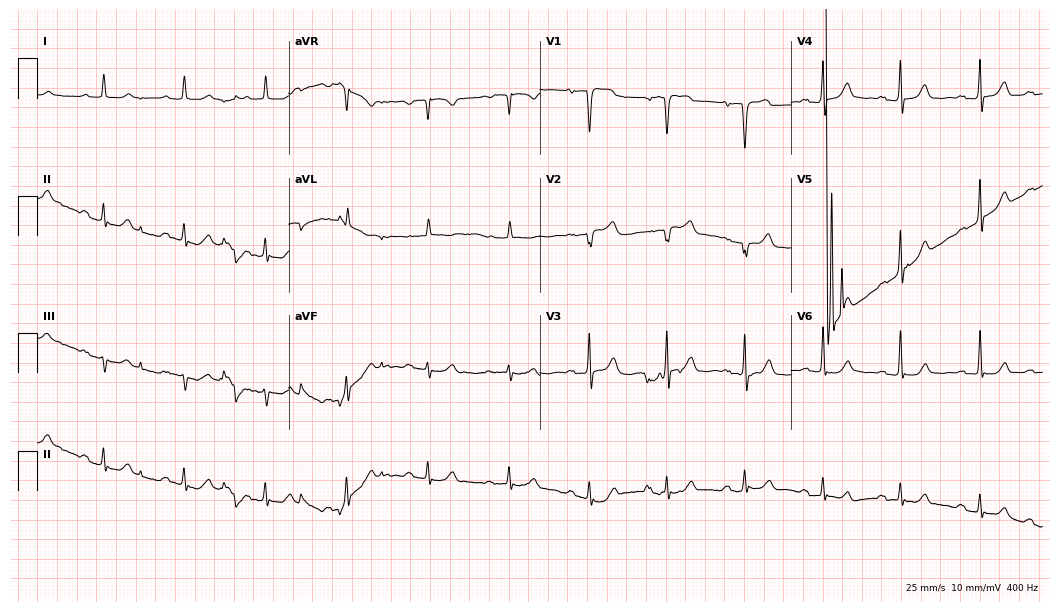
Standard 12-lead ECG recorded from a female, 80 years old. None of these six findings is recorded: first-degree AV block, right bundle branch block (RBBB), left bundle branch block (LBBB), sinus bradycardia, atrial fibrillation (AF), sinus tachycardia. Other findings, if any, are not listed.